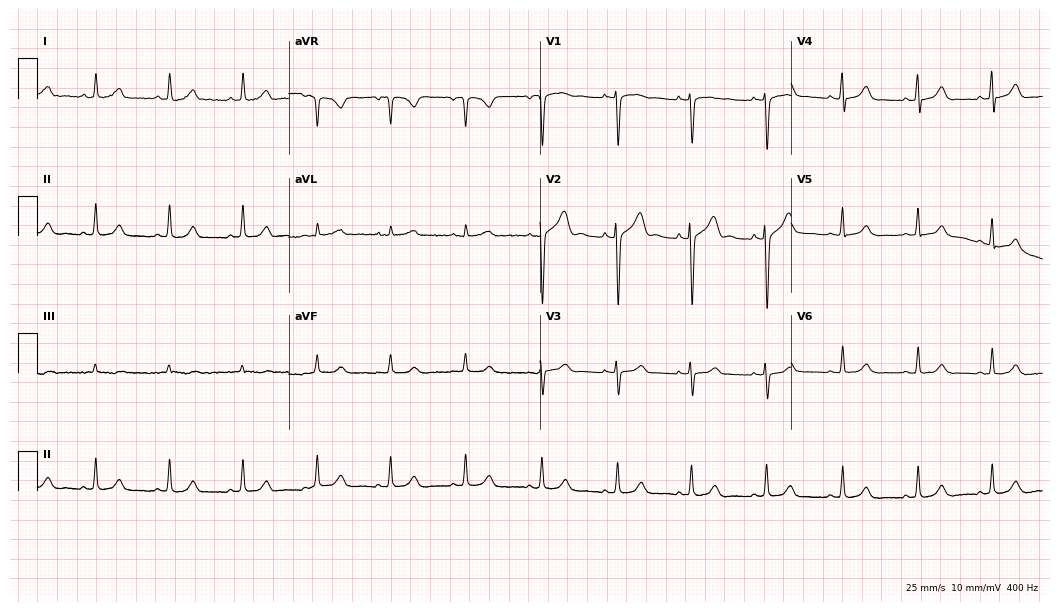
Electrocardiogram, a female, 32 years old. Overall reading on record: normal ECG.